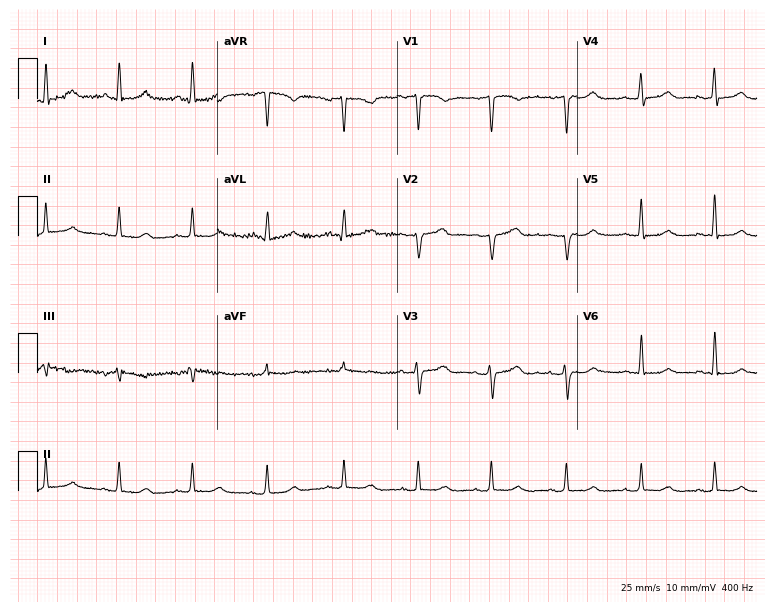
Resting 12-lead electrocardiogram. Patient: a 72-year-old woman. Read as a normal ECG.